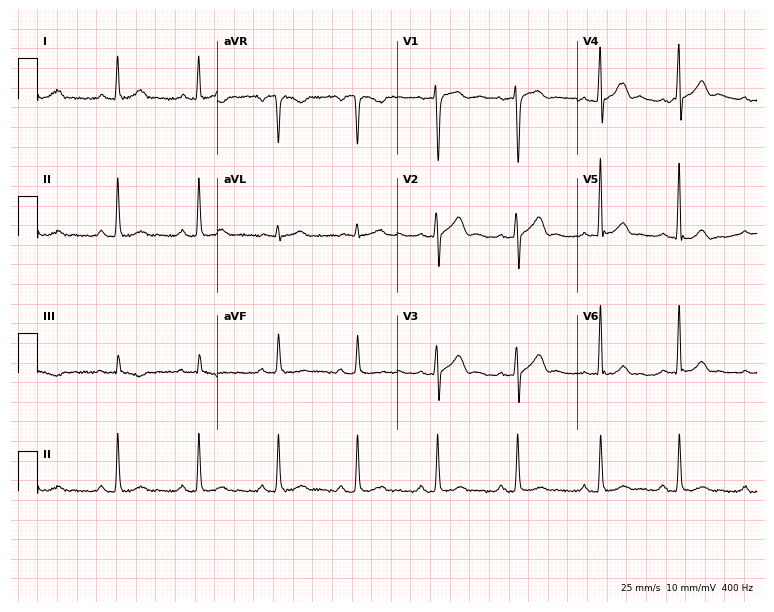
Electrocardiogram (7.3-second recording at 400 Hz), a male patient, 38 years old. Overall reading on record: normal ECG.